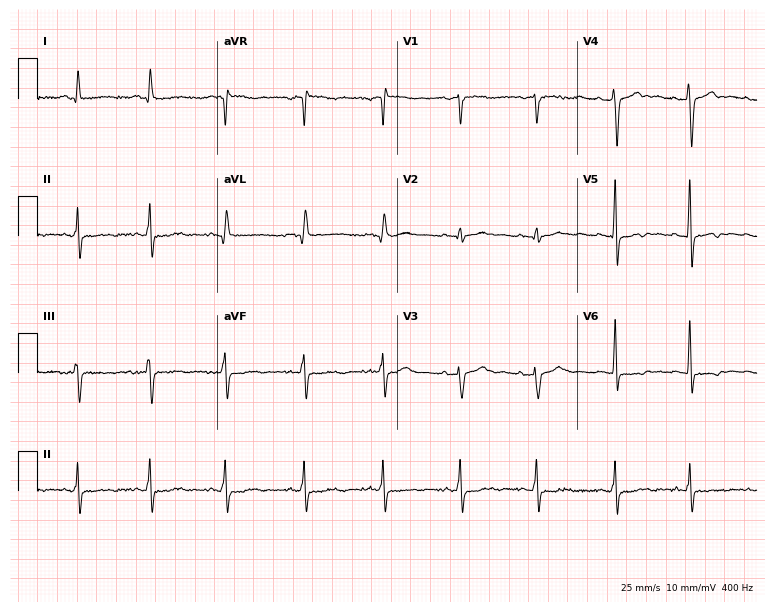
Electrocardiogram, a female, 51 years old. Of the six screened findings (first-degree AV block, right bundle branch block, left bundle branch block, sinus bradycardia, atrial fibrillation, sinus tachycardia), none is recorded.